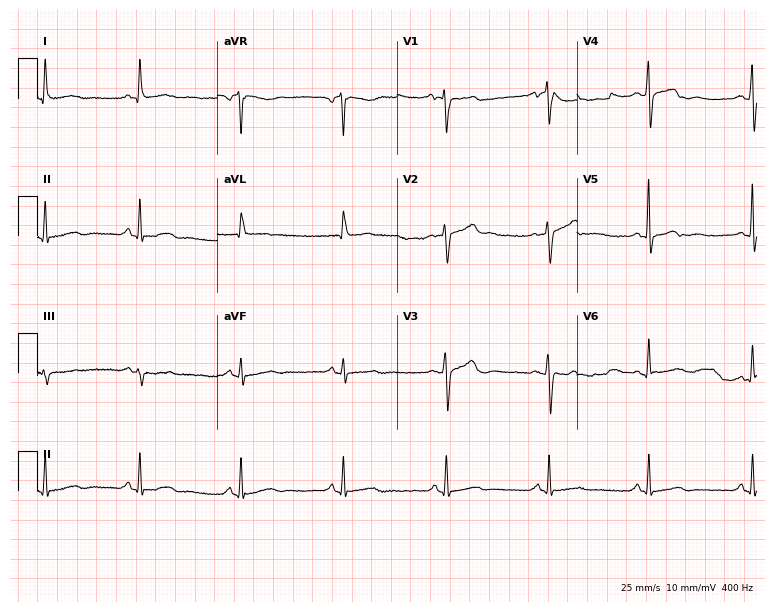
12-lead ECG from a 71-year-old male patient. Recorded interpretation: within normal limits.